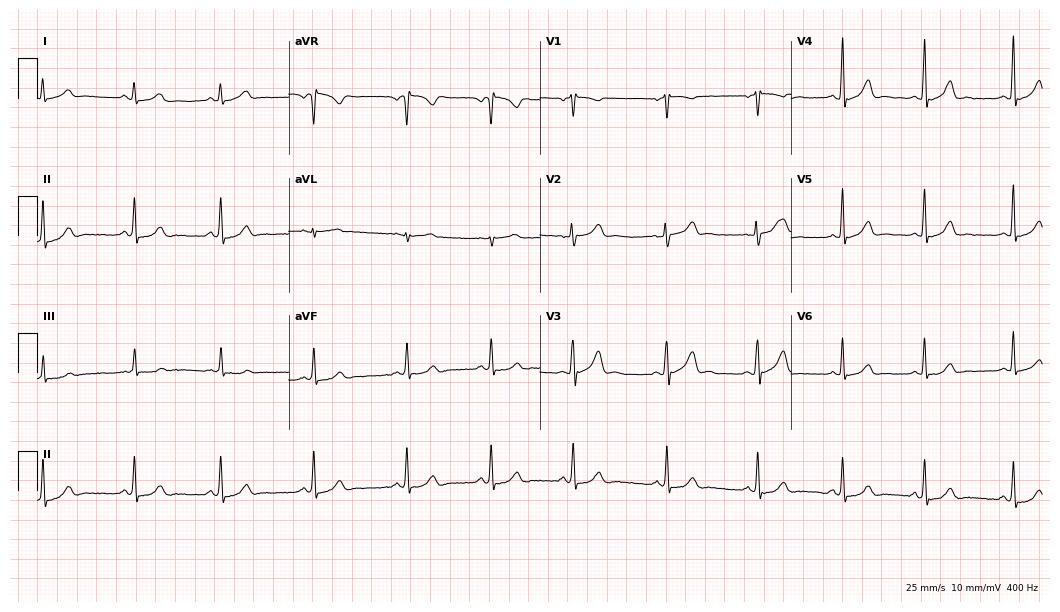
ECG — a 22-year-old woman. Labelled as a normal ECG.